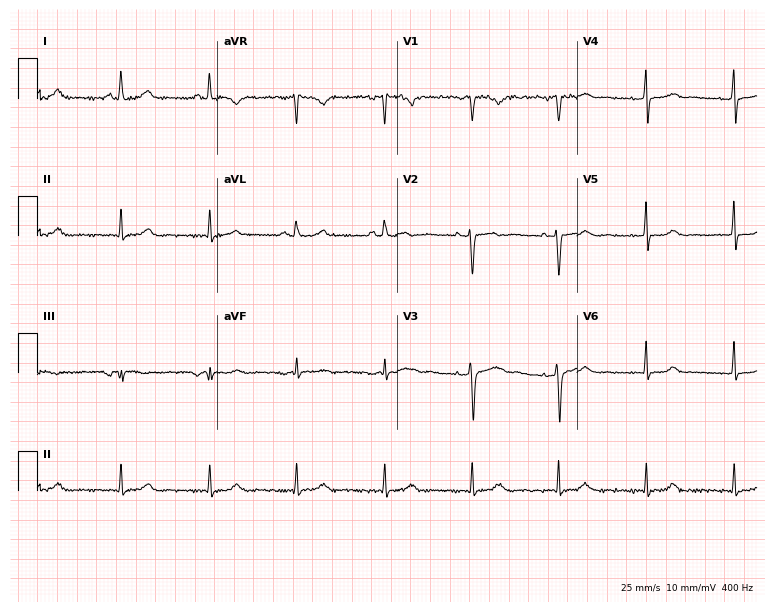
Electrocardiogram, a 45-year-old female patient. Of the six screened findings (first-degree AV block, right bundle branch block (RBBB), left bundle branch block (LBBB), sinus bradycardia, atrial fibrillation (AF), sinus tachycardia), none is recorded. Findings outside these six are not listed.